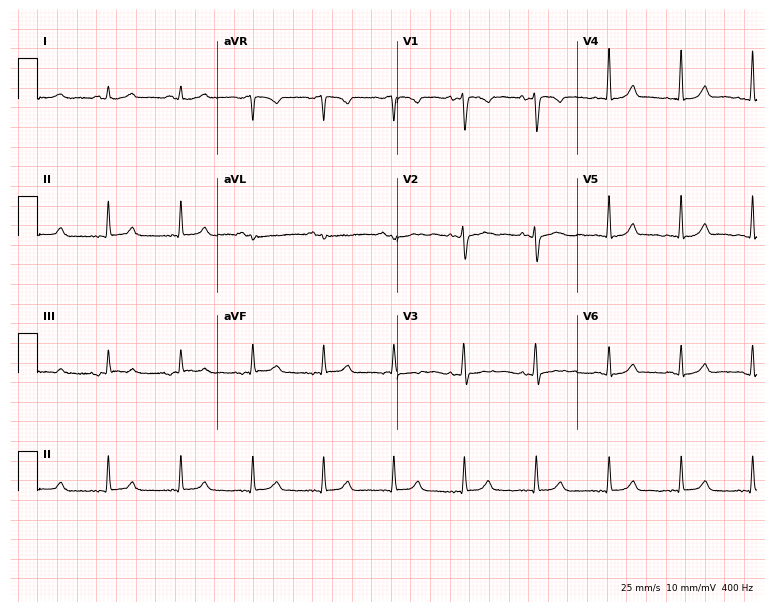
Electrocardiogram, a woman, 31 years old. Of the six screened findings (first-degree AV block, right bundle branch block, left bundle branch block, sinus bradycardia, atrial fibrillation, sinus tachycardia), none is recorded.